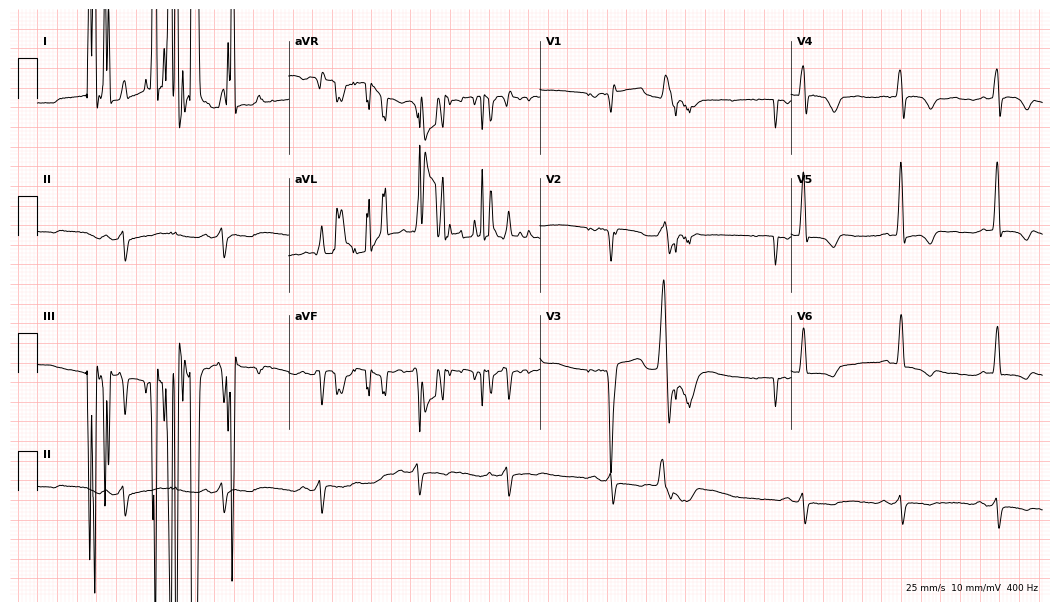
12-lead ECG from a 76-year-old man. Screened for six findings — first-degree AV block, right bundle branch block, left bundle branch block, sinus bradycardia, atrial fibrillation, sinus tachycardia — none is recorded.